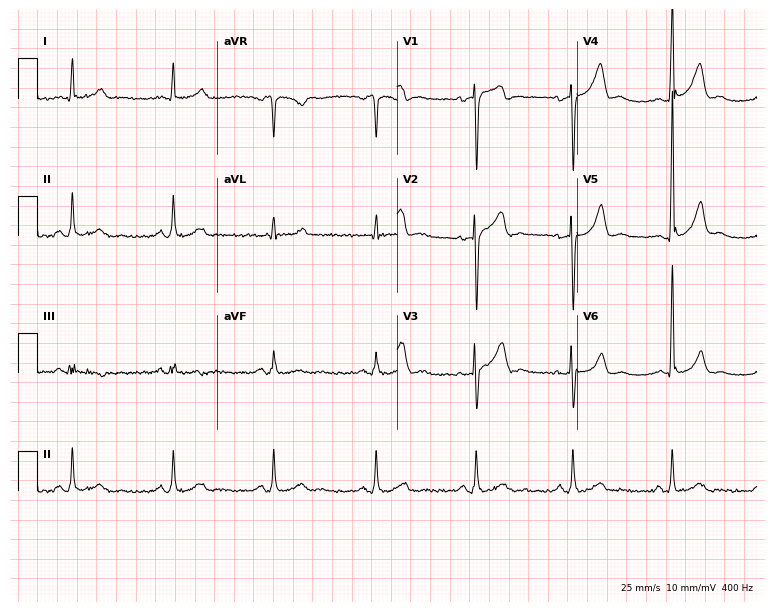
ECG — a 48-year-old male patient. Labelled as a normal ECG.